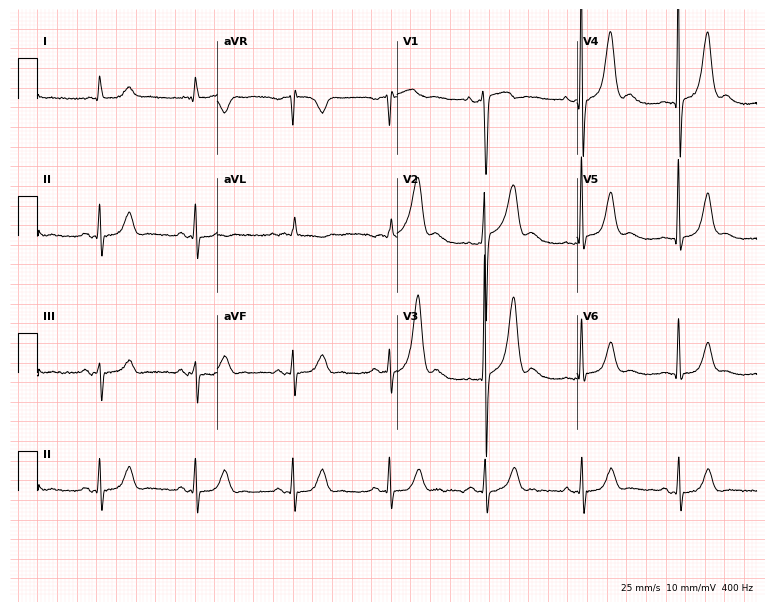
Electrocardiogram (7.3-second recording at 400 Hz), a 78-year-old man. Overall reading on record: normal ECG.